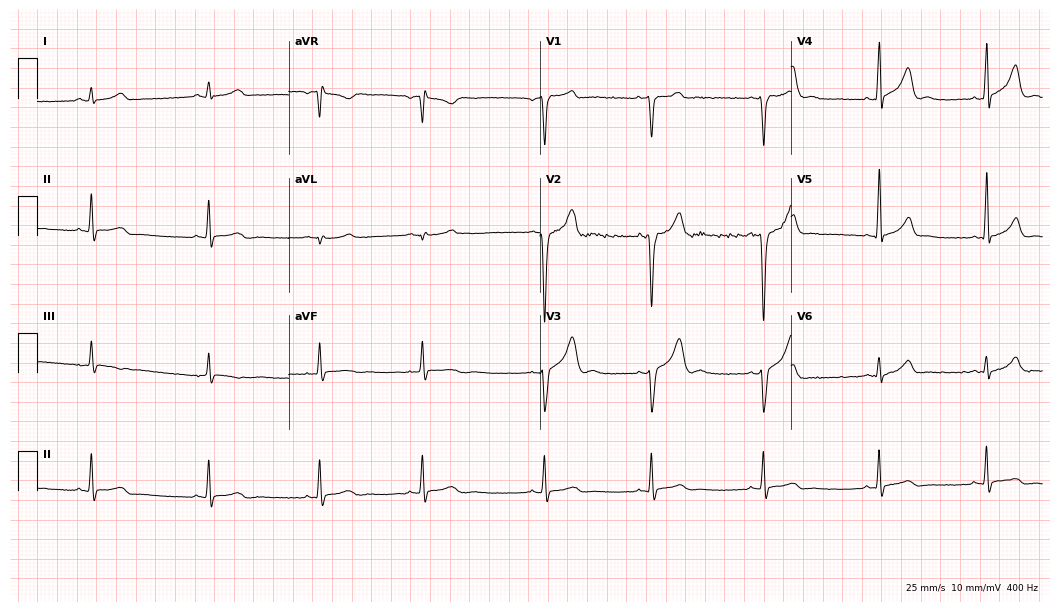
12-lead ECG from a male, 25 years old. Labelled as a normal ECG.